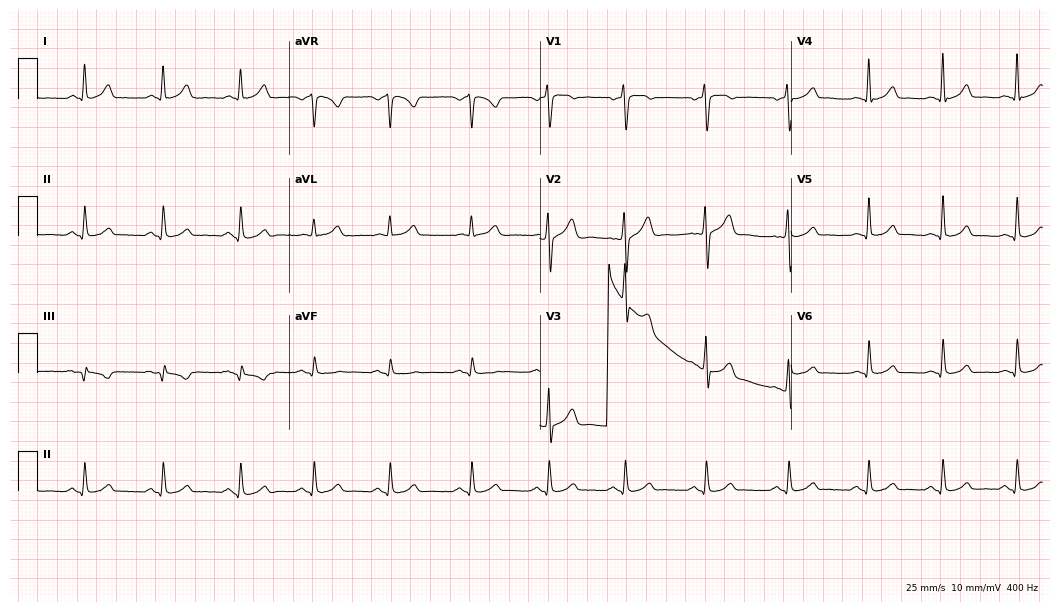
Resting 12-lead electrocardiogram (10.2-second recording at 400 Hz). Patient: a man, 33 years old. Read as a normal ECG.